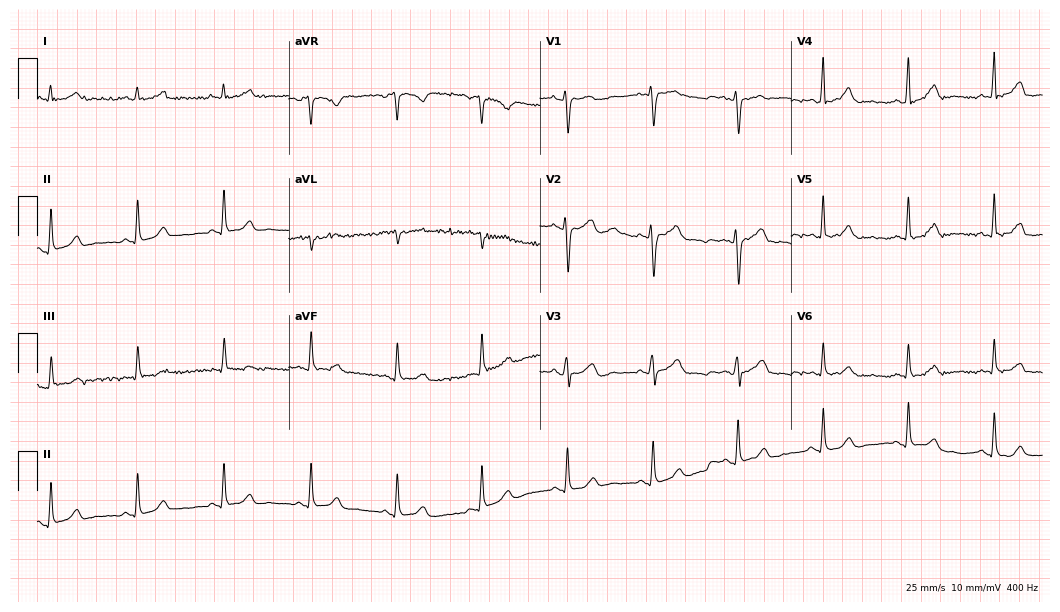
Standard 12-lead ECG recorded from a 29-year-old woman (10.2-second recording at 400 Hz). Read as a normal ECG.